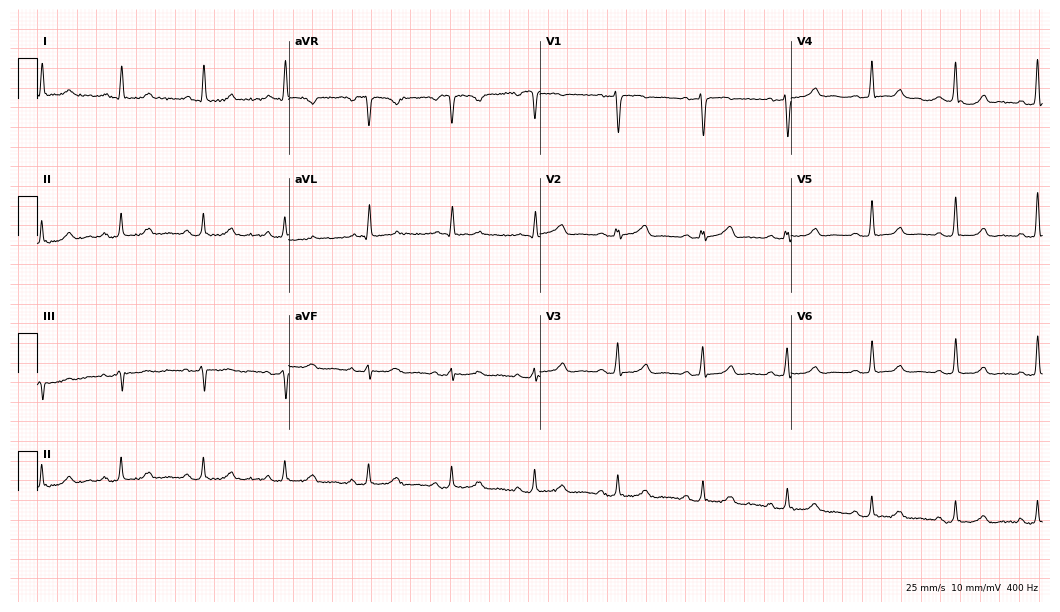
12-lead ECG from a female patient, 61 years old (10.2-second recording at 400 Hz). No first-degree AV block, right bundle branch block (RBBB), left bundle branch block (LBBB), sinus bradycardia, atrial fibrillation (AF) or sinus tachycardia recorded for this tracing. Other findings, if any, are not listed.